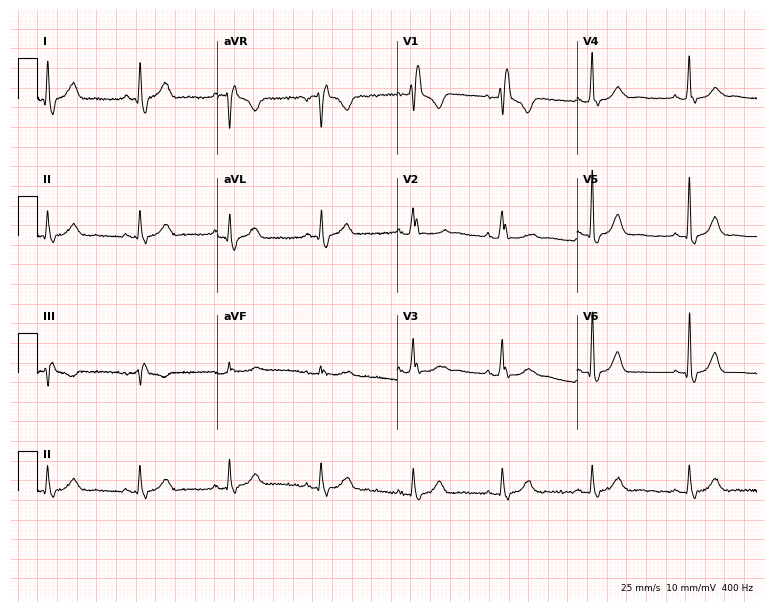
12-lead ECG from a 53-year-old male. Shows right bundle branch block.